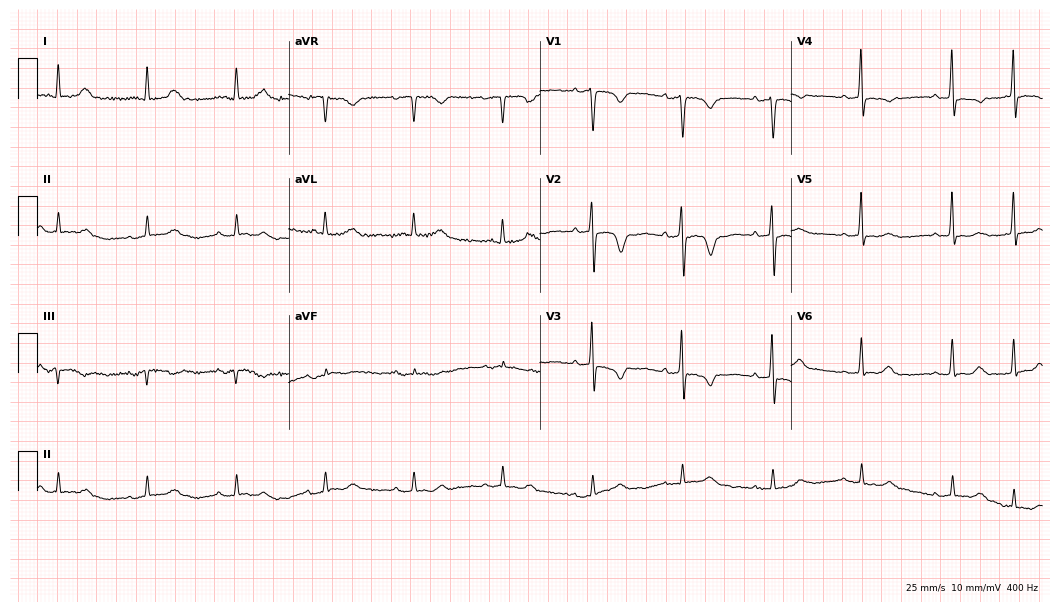
Standard 12-lead ECG recorded from a 79-year-old male (10.2-second recording at 400 Hz). None of these six findings is recorded: first-degree AV block, right bundle branch block (RBBB), left bundle branch block (LBBB), sinus bradycardia, atrial fibrillation (AF), sinus tachycardia.